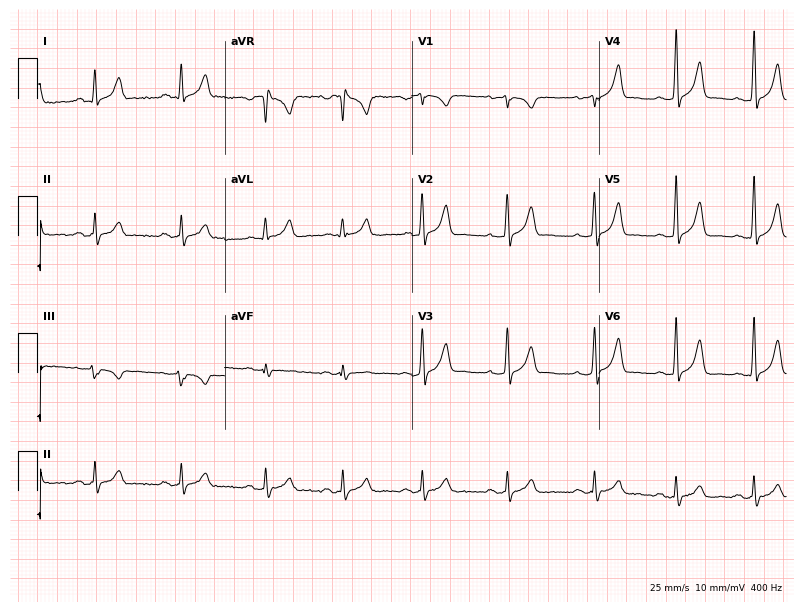
12-lead ECG from a female, 25 years old. Recorded interpretation: within normal limits.